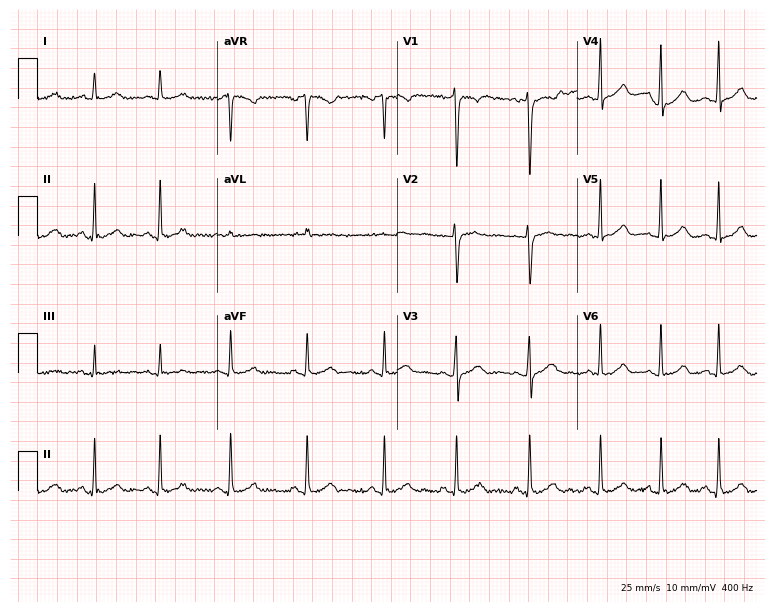
Resting 12-lead electrocardiogram (7.3-second recording at 400 Hz). Patient: a 29-year-old female. Read as a normal ECG.